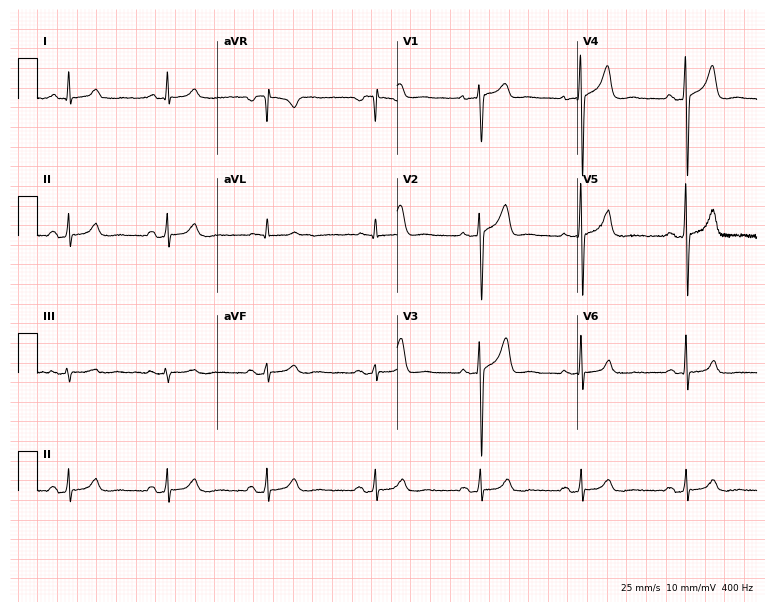
12-lead ECG from a 51-year-old man. Recorded interpretation: within normal limits.